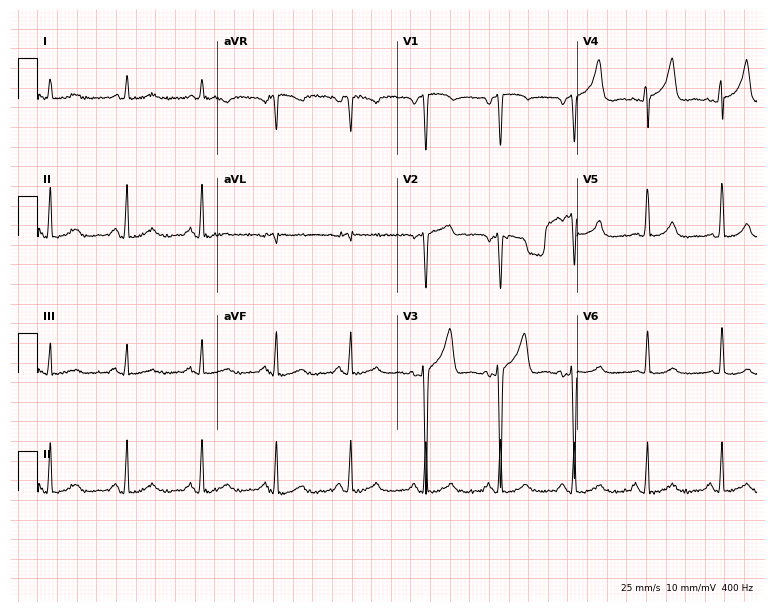
Electrocardiogram (7.3-second recording at 400 Hz), a 62-year-old man. Of the six screened findings (first-degree AV block, right bundle branch block, left bundle branch block, sinus bradycardia, atrial fibrillation, sinus tachycardia), none is recorded.